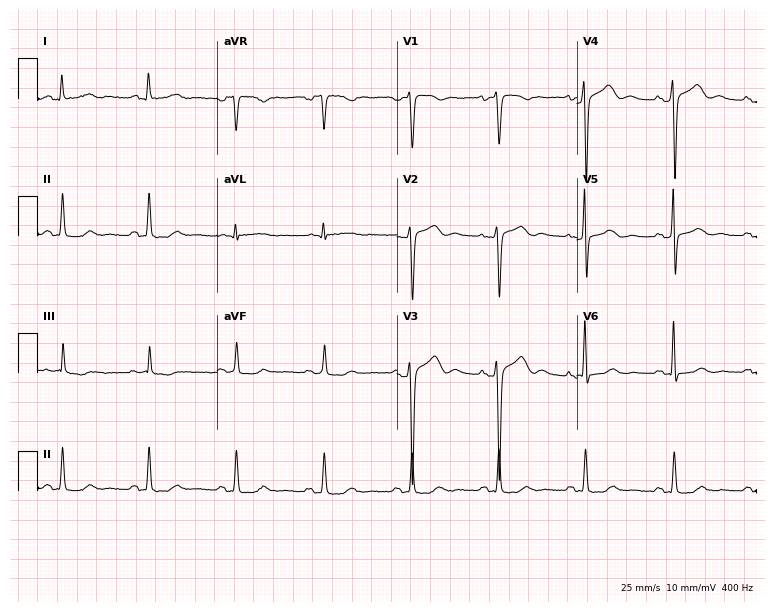
12-lead ECG (7.3-second recording at 400 Hz) from a female patient, 46 years old. Screened for six findings — first-degree AV block, right bundle branch block, left bundle branch block, sinus bradycardia, atrial fibrillation, sinus tachycardia — none is recorded. Other findings, if any, are not listed.